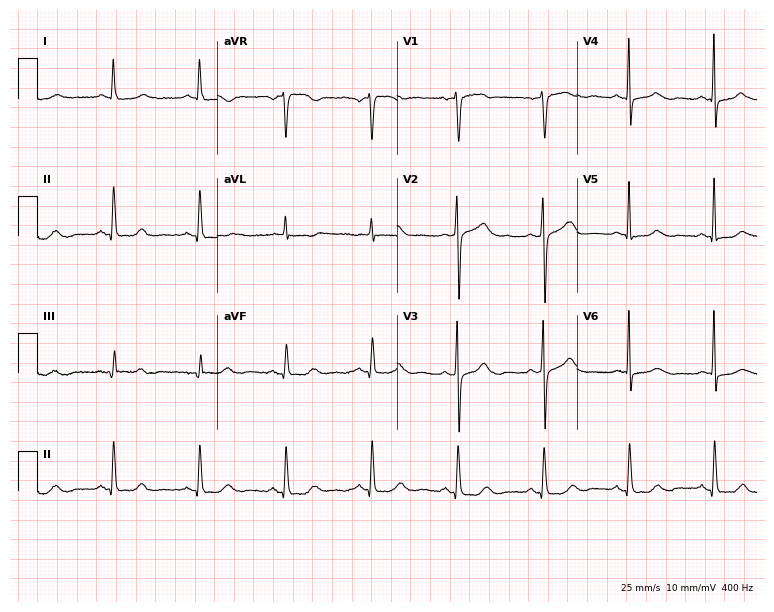
Standard 12-lead ECG recorded from a 63-year-old female patient (7.3-second recording at 400 Hz). Read as a normal ECG.